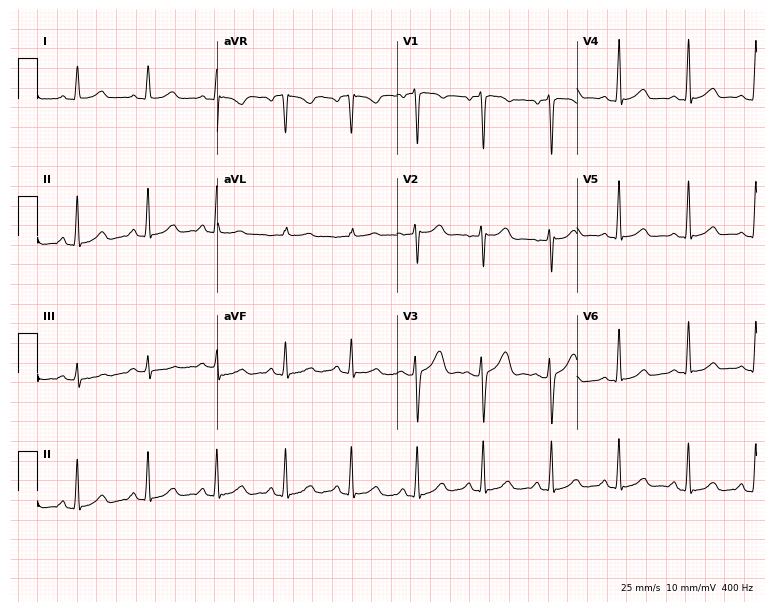
Standard 12-lead ECG recorded from a 34-year-old female (7.3-second recording at 400 Hz). None of these six findings is recorded: first-degree AV block, right bundle branch block, left bundle branch block, sinus bradycardia, atrial fibrillation, sinus tachycardia.